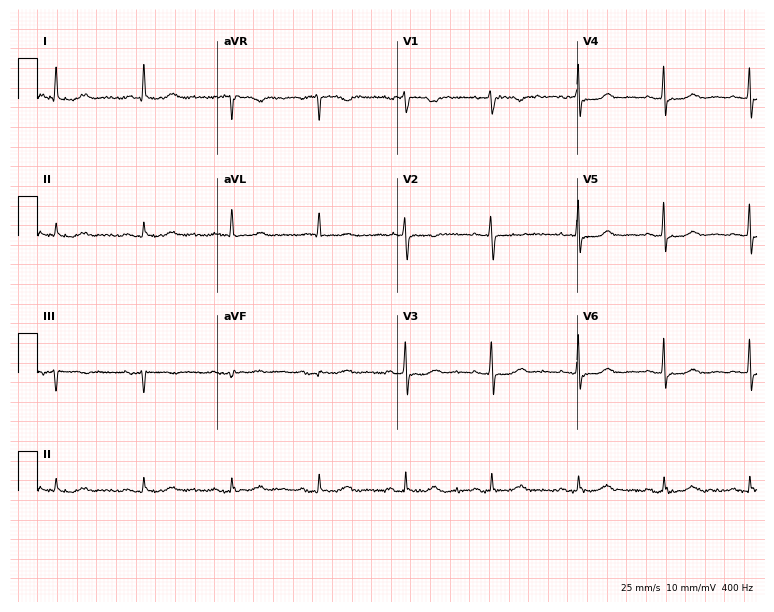
Resting 12-lead electrocardiogram (7.3-second recording at 400 Hz). Patient: a female, 75 years old. None of these six findings is recorded: first-degree AV block, right bundle branch block (RBBB), left bundle branch block (LBBB), sinus bradycardia, atrial fibrillation (AF), sinus tachycardia. Findings outside these six are not listed.